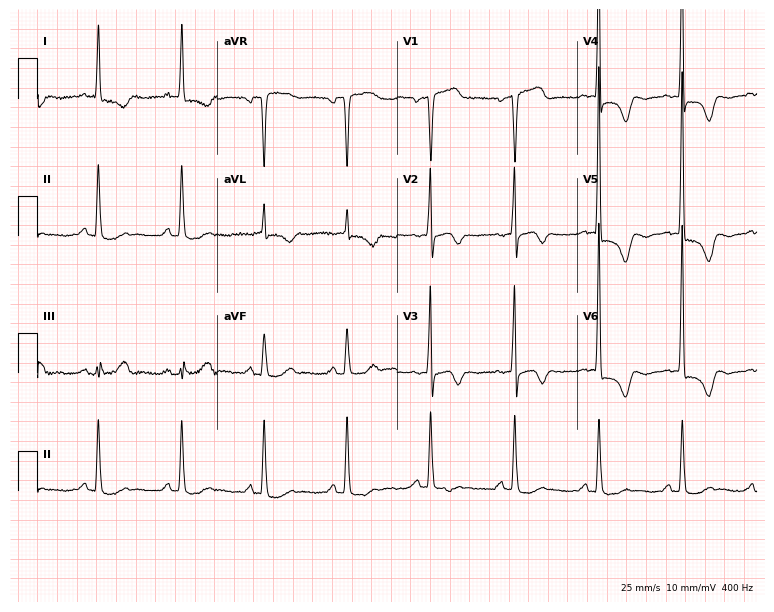
Electrocardiogram, a female, 81 years old. Of the six screened findings (first-degree AV block, right bundle branch block, left bundle branch block, sinus bradycardia, atrial fibrillation, sinus tachycardia), none is recorded. Findings outside these six are not listed.